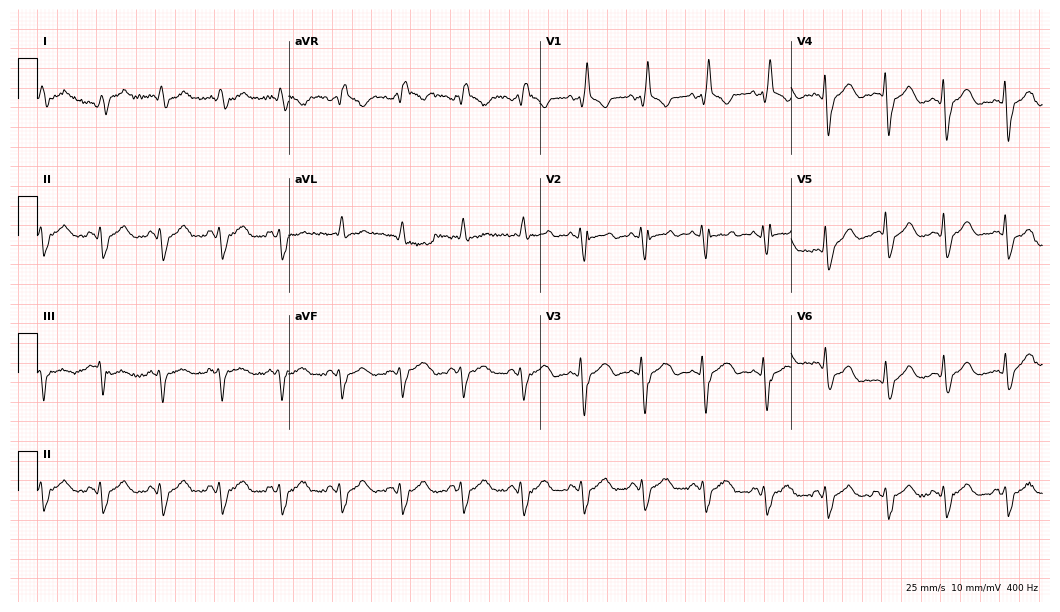
ECG (10.2-second recording at 400 Hz) — a man, 72 years old. Findings include right bundle branch block.